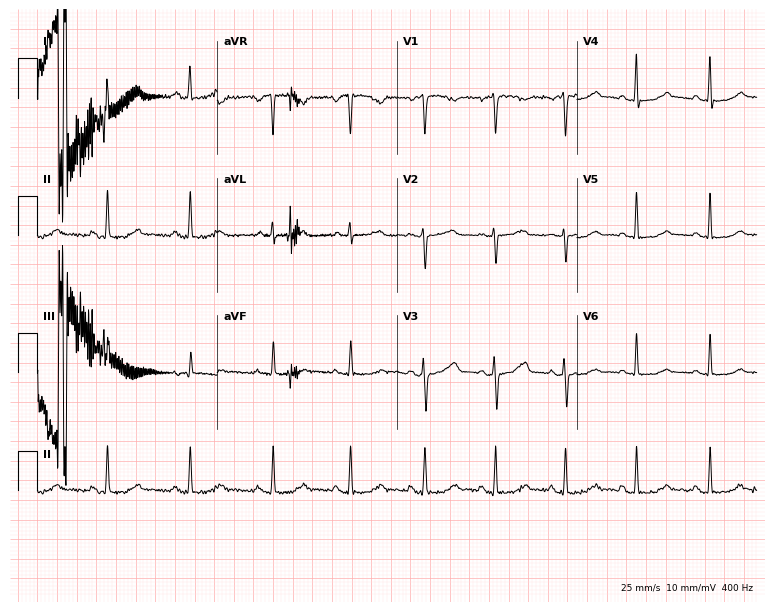
Electrocardiogram, a 38-year-old woman. Of the six screened findings (first-degree AV block, right bundle branch block (RBBB), left bundle branch block (LBBB), sinus bradycardia, atrial fibrillation (AF), sinus tachycardia), none is recorded. Only these six findings were labelled.